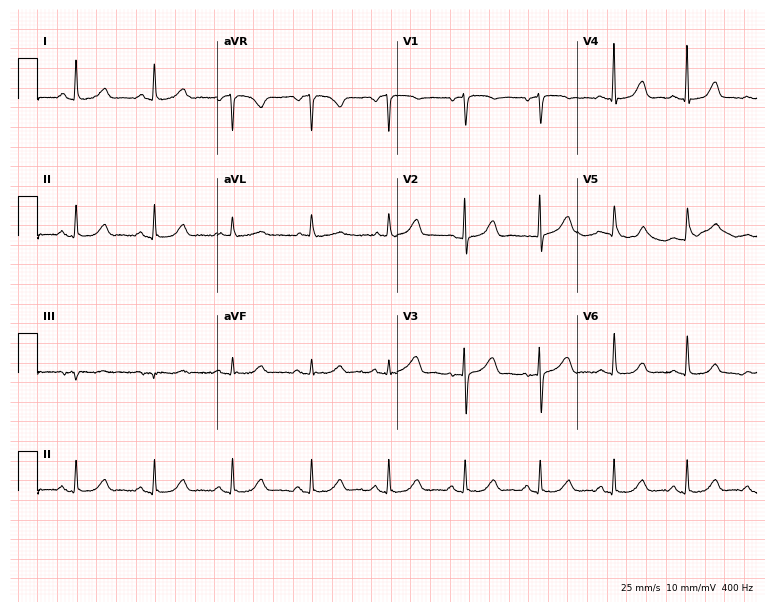
12-lead ECG from a female, 75 years old. Screened for six findings — first-degree AV block, right bundle branch block, left bundle branch block, sinus bradycardia, atrial fibrillation, sinus tachycardia — none is recorded.